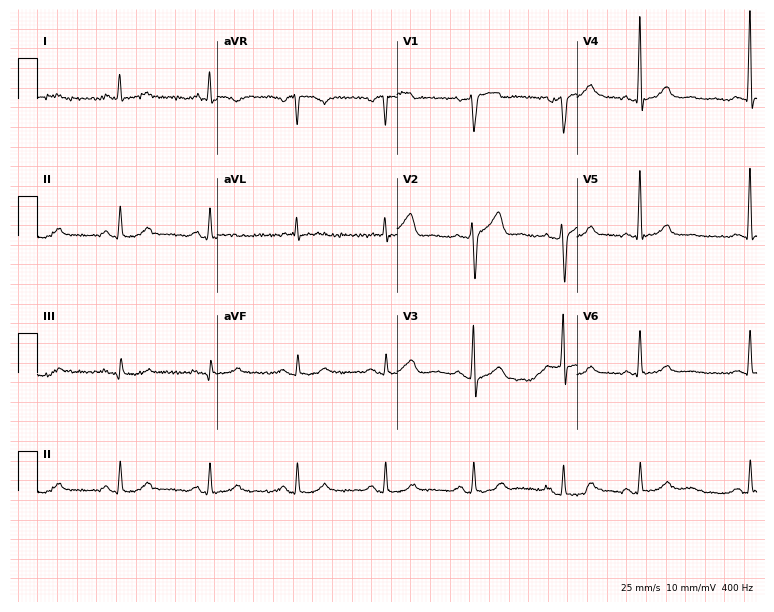
ECG — a male, 73 years old. Labelled as a normal ECG.